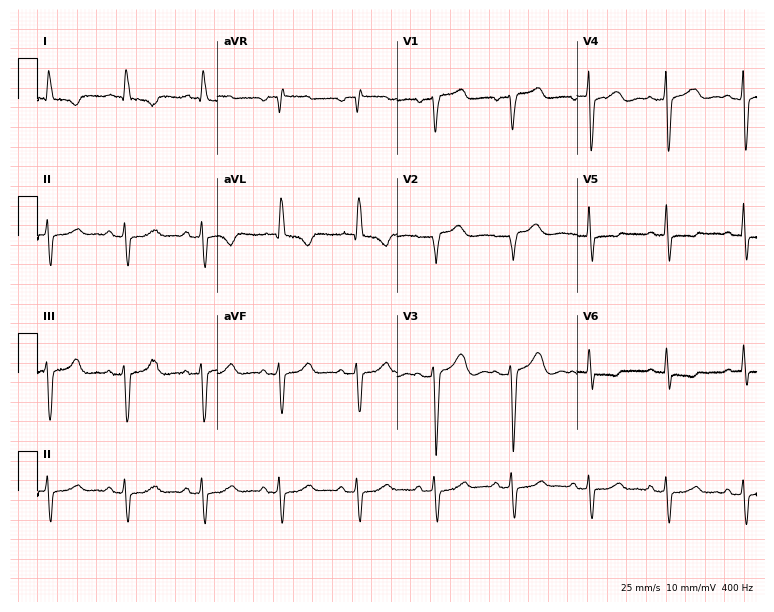
12-lead ECG from a male, 68 years old (7.3-second recording at 400 Hz). No first-degree AV block, right bundle branch block, left bundle branch block, sinus bradycardia, atrial fibrillation or sinus tachycardia recorded for this tracing. Other findings, if any, are not listed.